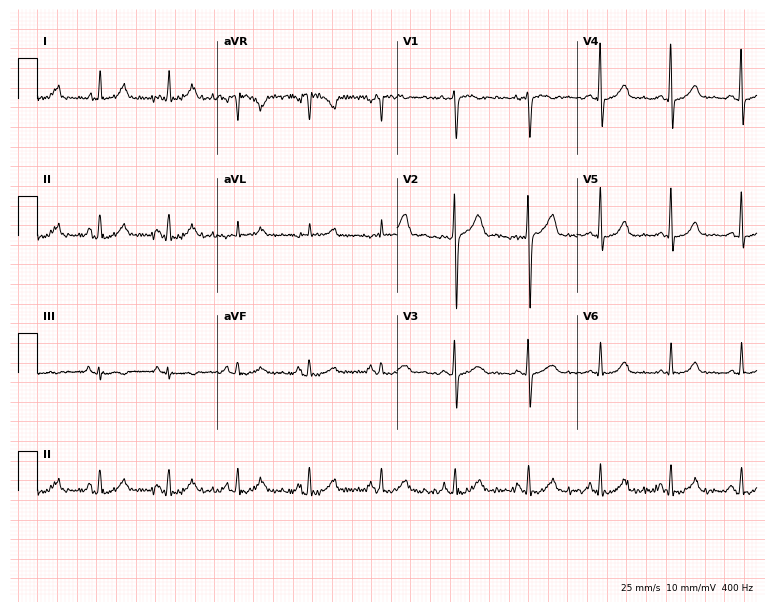
12-lead ECG from a 38-year-old woman. Screened for six findings — first-degree AV block, right bundle branch block, left bundle branch block, sinus bradycardia, atrial fibrillation, sinus tachycardia — none is recorded.